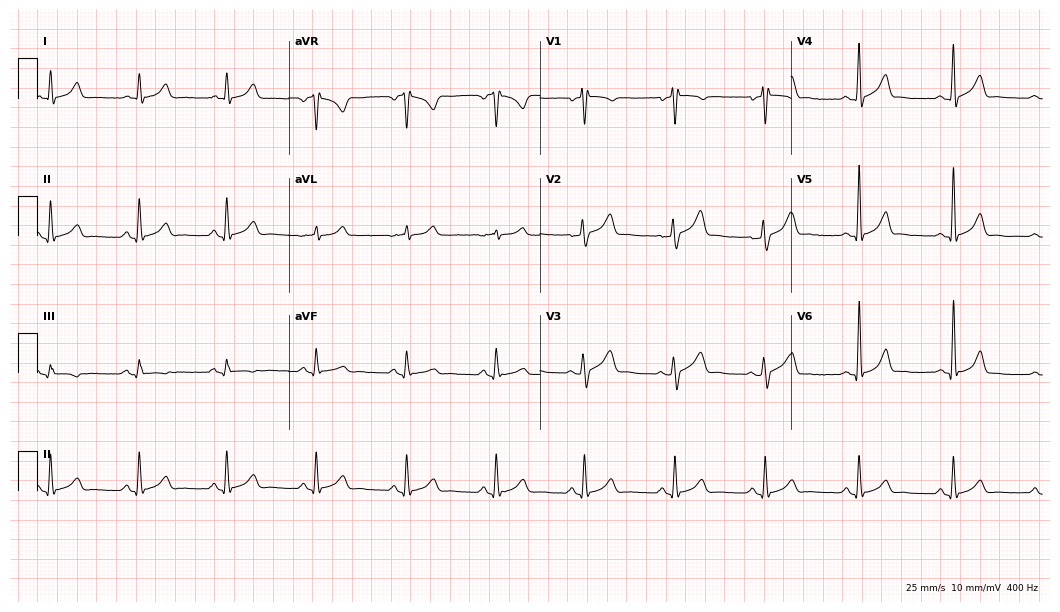
Electrocardiogram (10.2-second recording at 400 Hz), a 44-year-old male patient. Overall reading on record: normal ECG.